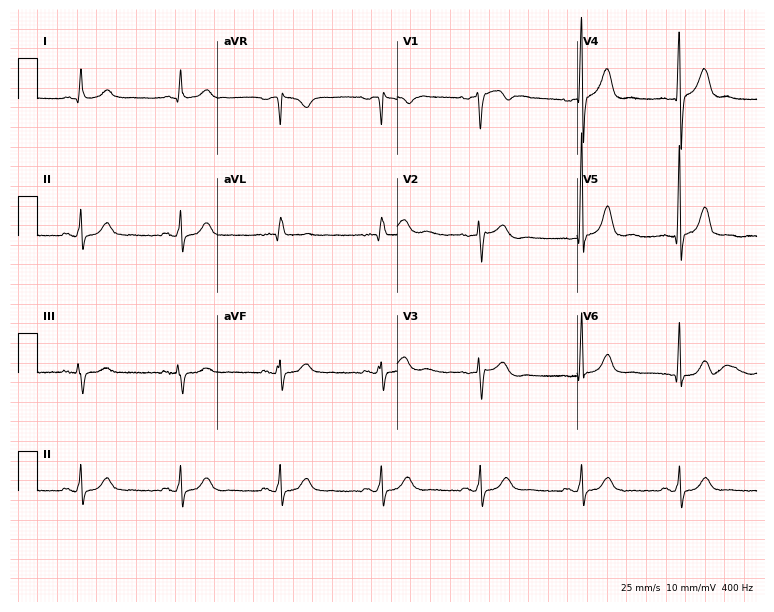
Standard 12-lead ECG recorded from a male, 61 years old (7.3-second recording at 400 Hz). Read as a normal ECG.